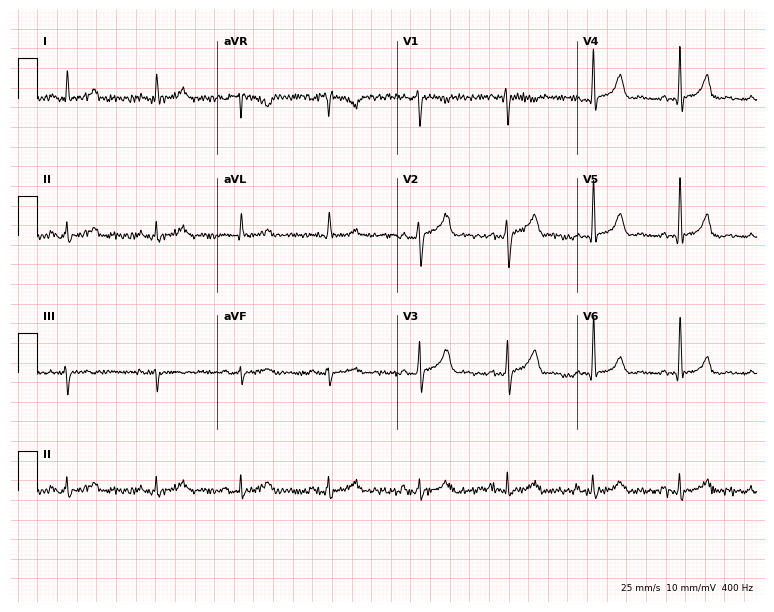
12-lead ECG from a male, 68 years old. No first-degree AV block, right bundle branch block, left bundle branch block, sinus bradycardia, atrial fibrillation or sinus tachycardia recorded for this tracing. Only these six findings were labelled.